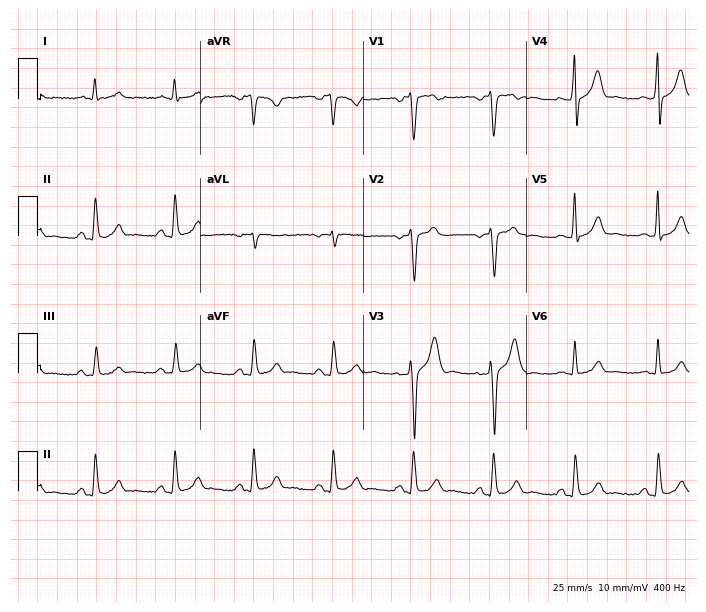
Standard 12-lead ECG recorded from a male patient, 33 years old. None of these six findings is recorded: first-degree AV block, right bundle branch block, left bundle branch block, sinus bradycardia, atrial fibrillation, sinus tachycardia. Other findings, if any, are not listed.